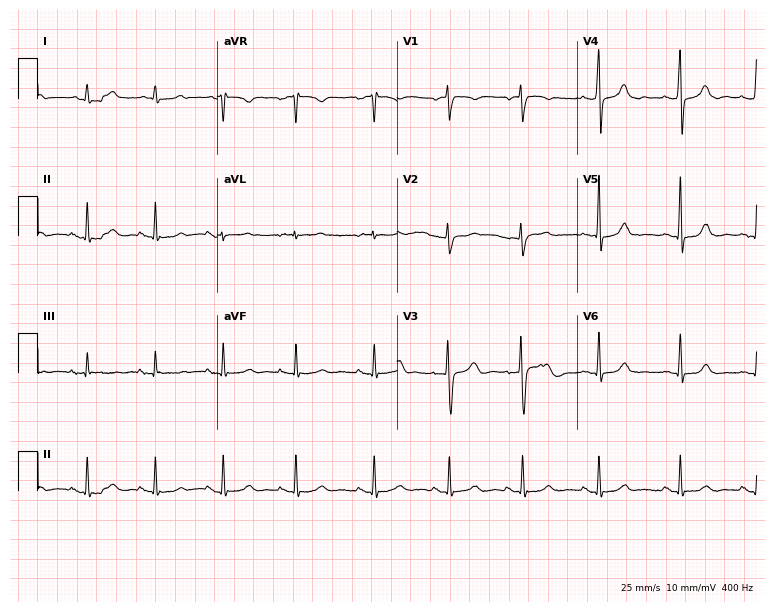
12-lead ECG from a 24-year-old woman. Recorded interpretation: within normal limits.